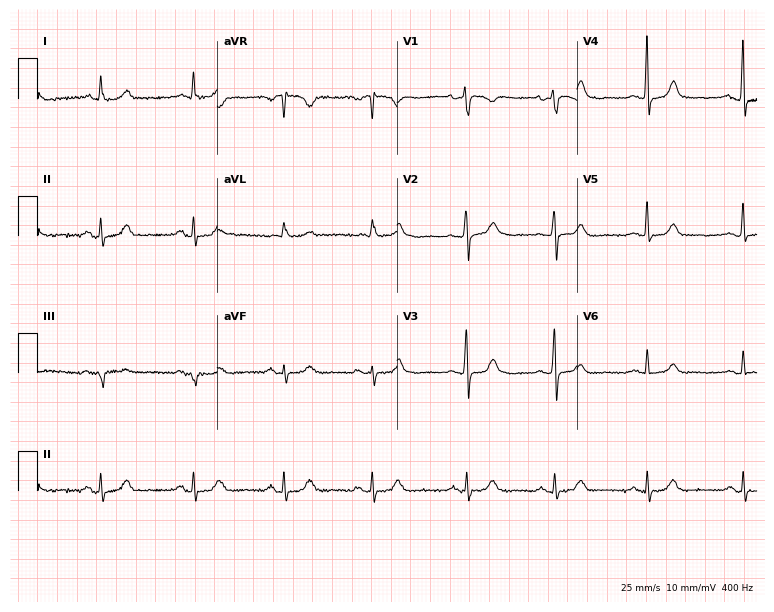
Standard 12-lead ECG recorded from a 77-year-old female. None of these six findings is recorded: first-degree AV block, right bundle branch block, left bundle branch block, sinus bradycardia, atrial fibrillation, sinus tachycardia. Findings outside these six are not listed.